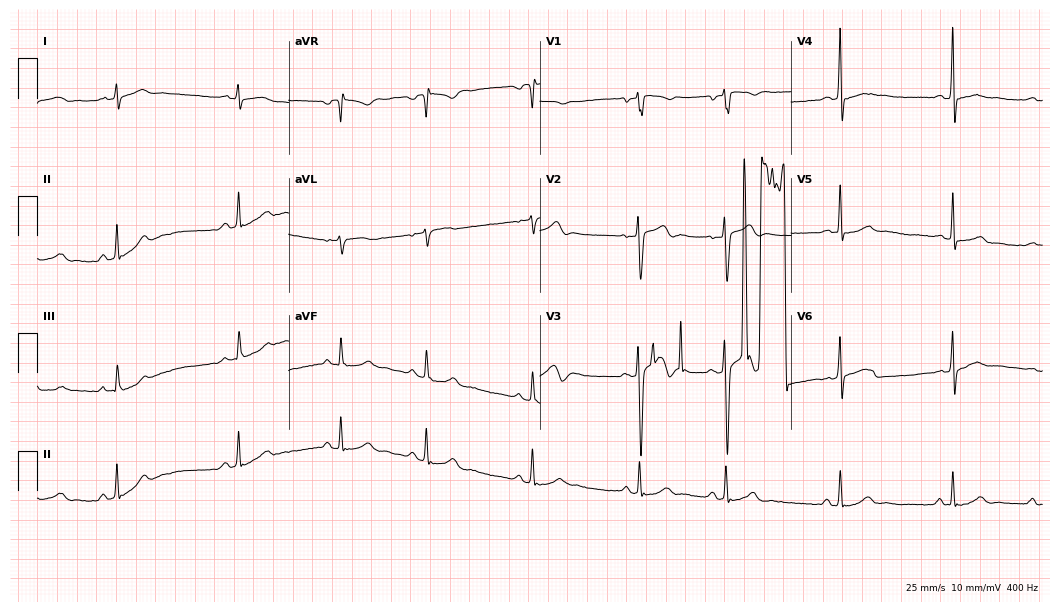
Standard 12-lead ECG recorded from a male patient, 19 years old. None of these six findings is recorded: first-degree AV block, right bundle branch block, left bundle branch block, sinus bradycardia, atrial fibrillation, sinus tachycardia. Findings outside these six are not listed.